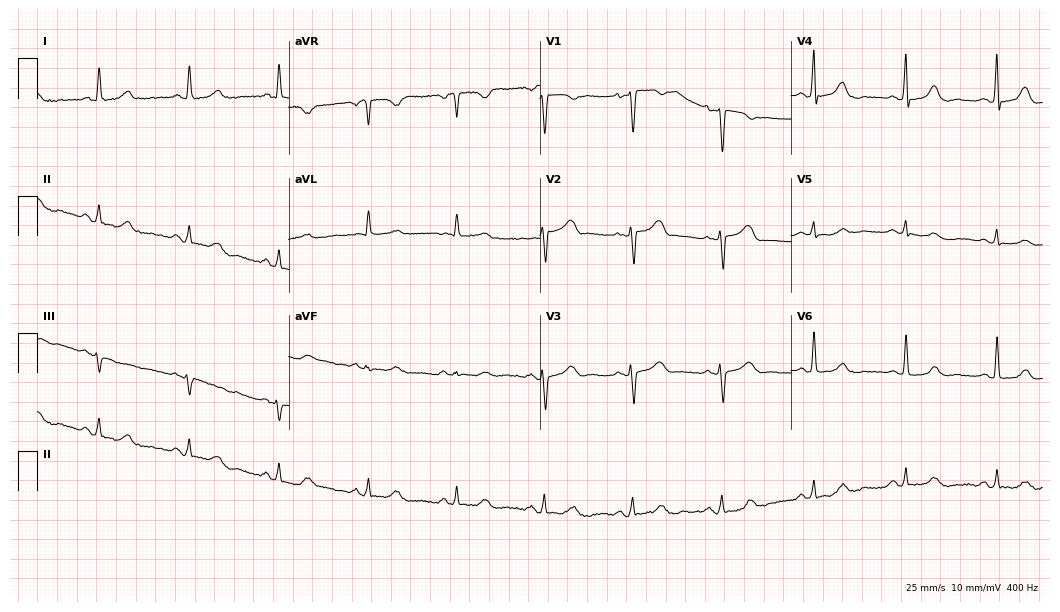
12-lead ECG from a woman, 71 years old. Recorded interpretation: within normal limits.